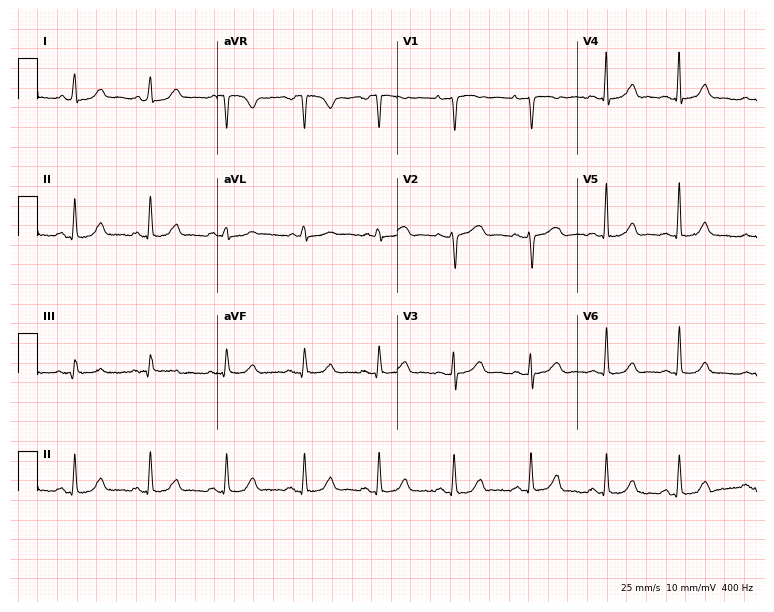
ECG — a woman, 38 years old. Labelled as a normal ECG.